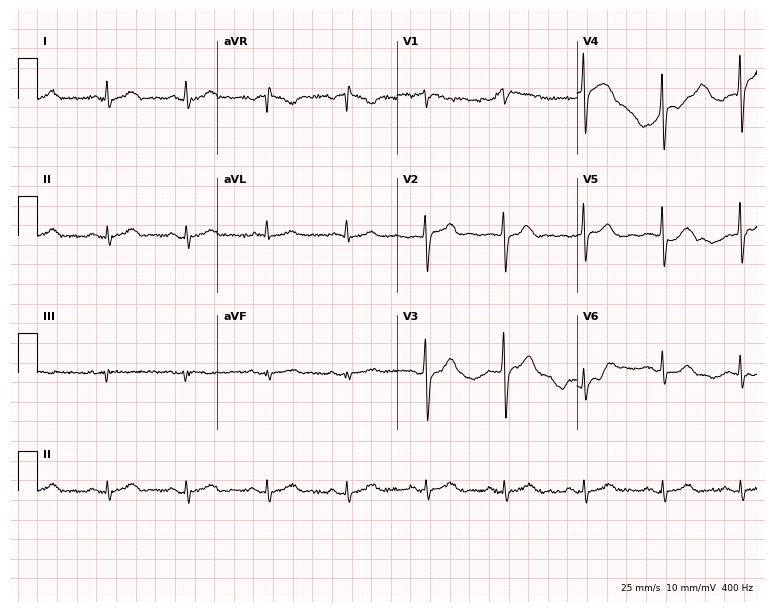
Electrocardiogram, a 54-year-old man. Overall reading on record: normal ECG.